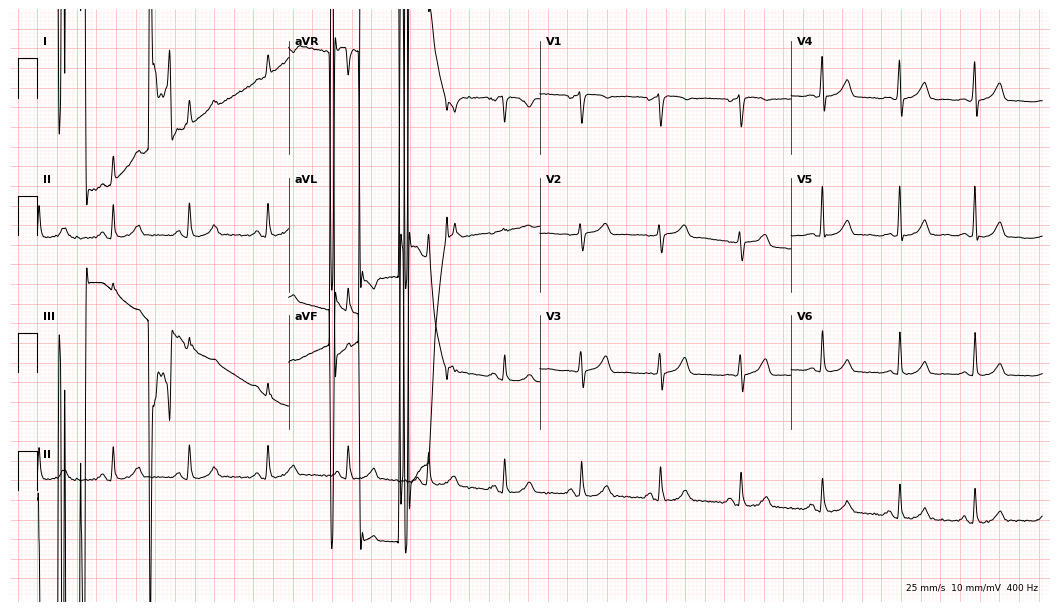
Resting 12-lead electrocardiogram. Patient: a woman, 51 years old. None of these six findings is recorded: first-degree AV block, right bundle branch block, left bundle branch block, sinus bradycardia, atrial fibrillation, sinus tachycardia.